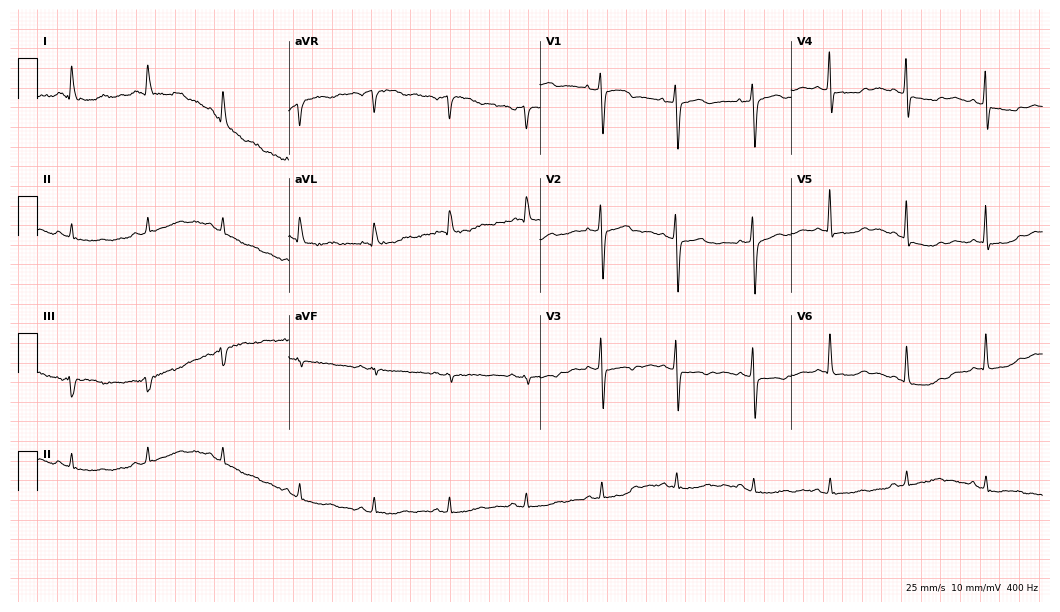
12-lead ECG from a female patient, 84 years old. No first-degree AV block, right bundle branch block, left bundle branch block, sinus bradycardia, atrial fibrillation or sinus tachycardia recorded for this tracing.